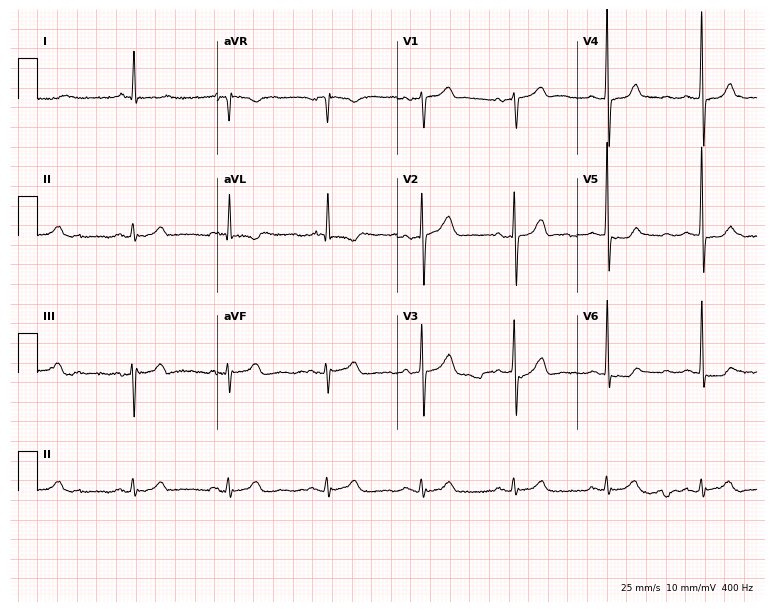
ECG — a 72-year-old man. Screened for six findings — first-degree AV block, right bundle branch block, left bundle branch block, sinus bradycardia, atrial fibrillation, sinus tachycardia — none is recorded. Other findings, if any, are not listed.